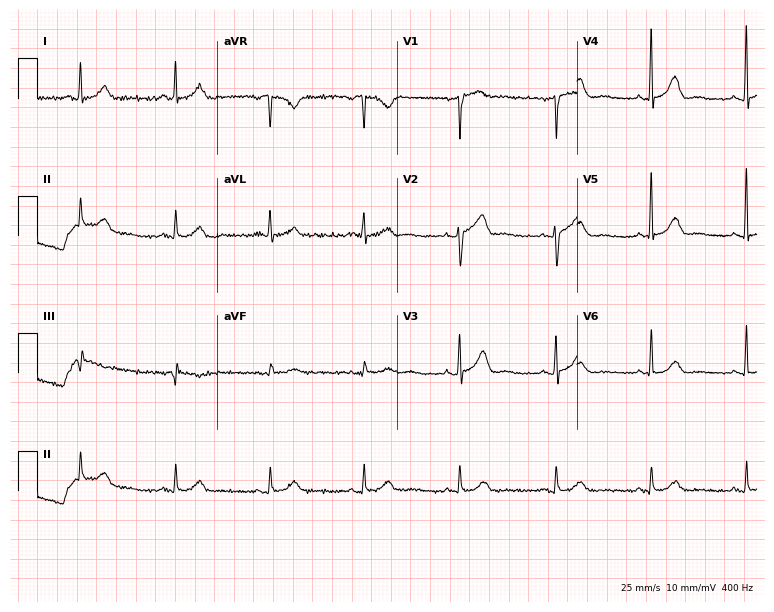
12-lead ECG from a 74-year-old female. No first-degree AV block, right bundle branch block, left bundle branch block, sinus bradycardia, atrial fibrillation or sinus tachycardia recorded for this tracing. Only these six findings were labelled.